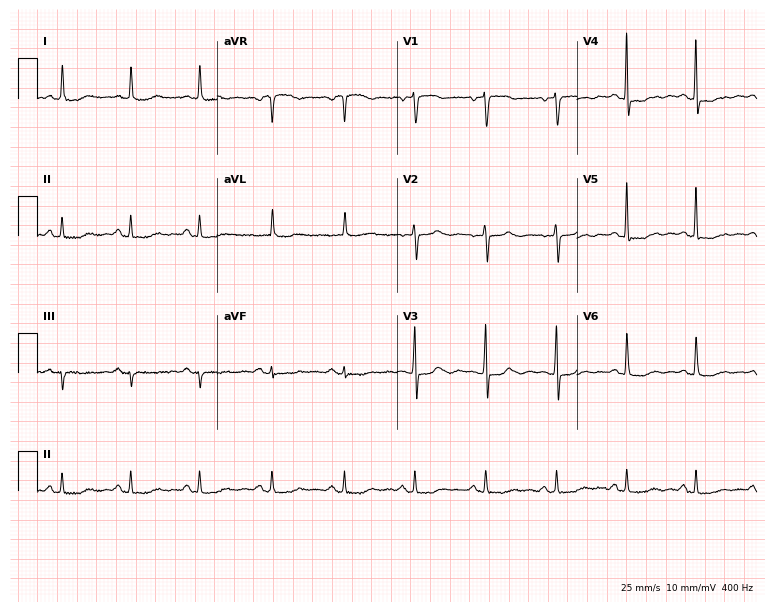
12-lead ECG (7.3-second recording at 400 Hz) from a female patient, 81 years old. Screened for six findings — first-degree AV block, right bundle branch block (RBBB), left bundle branch block (LBBB), sinus bradycardia, atrial fibrillation (AF), sinus tachycardia — none is recorded. Findings outside these six are not listed.